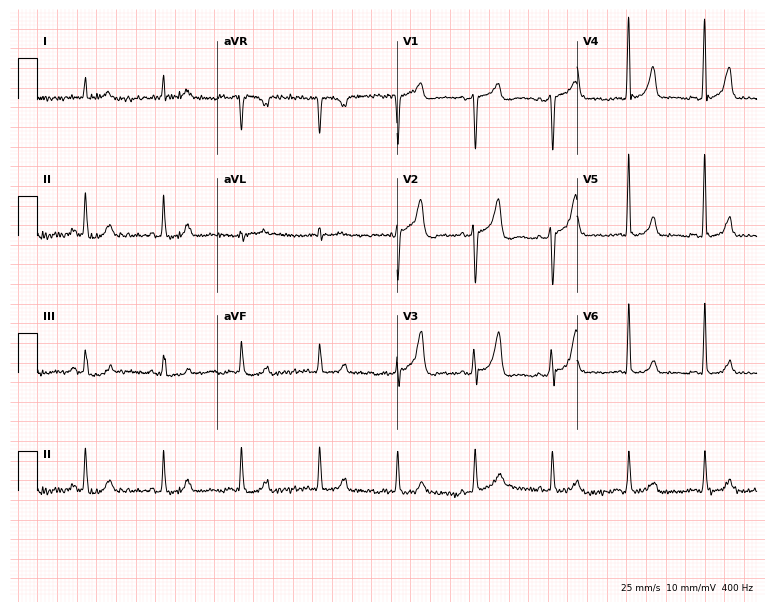
12-lead ECG from a 62-year-old male patient (7.3-second recording at 400 Hz). No first-degree AV block, right bundle branch block (RBBB), left bundle branch block (LBBB), sinus bradycardia, atrial fibrillation (AF) or sinus tachycardia recorded for this tracing.